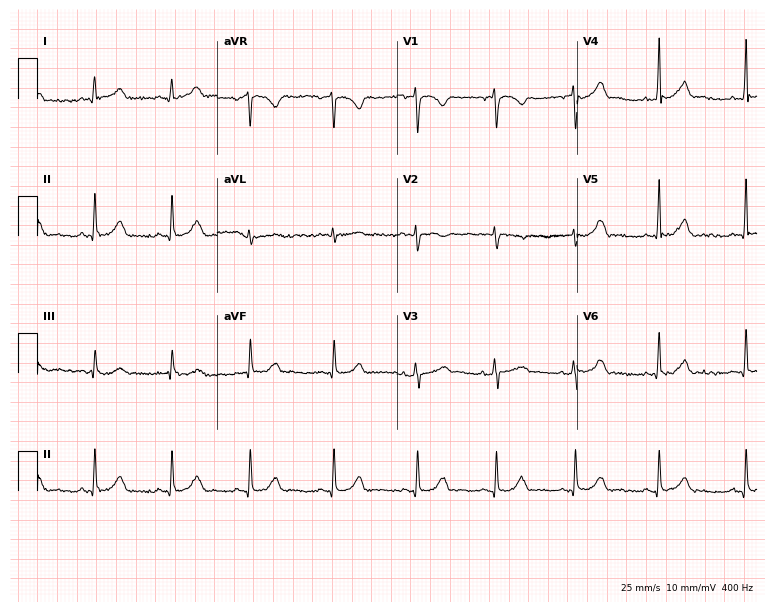
12-lead ECG (7.3-second recording at 400 Hz) from a female patient, 34 years old. Labelled as a normal ECG.